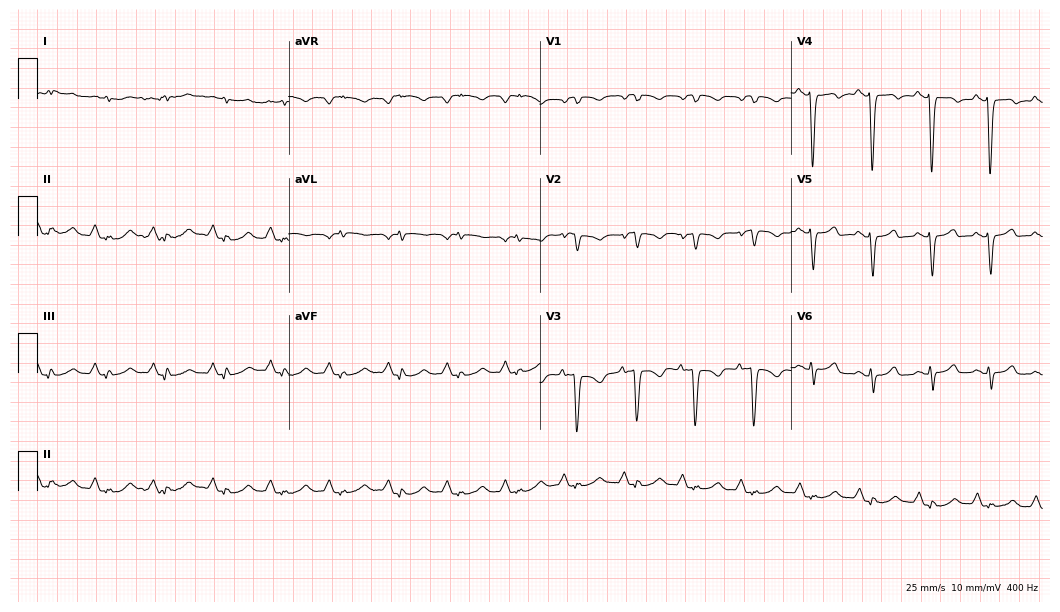
12-lead ECG from a male, 74 years old (10.2-second recording at 400 Hz). No first-degree AV block, right bundle branch block (RBBB), left bundle branch block (LBBB), sinus bradycardia, atrial fibrillation (AF) or sinus tachycardia recorded for this tracing.